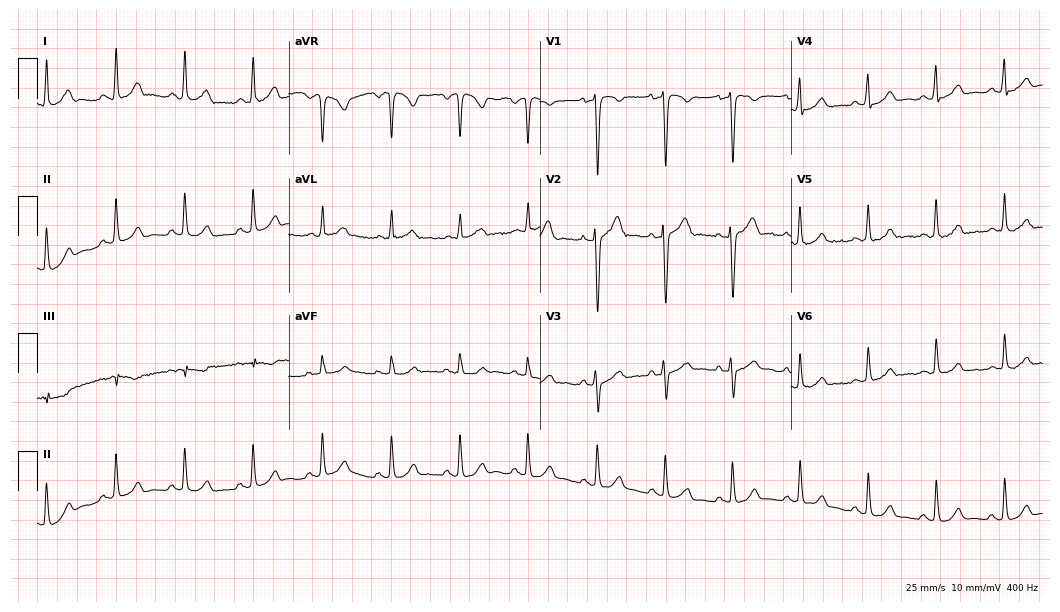
12-lead ECG from a 37-year-old male. Recorded interpretation: within normal limits.